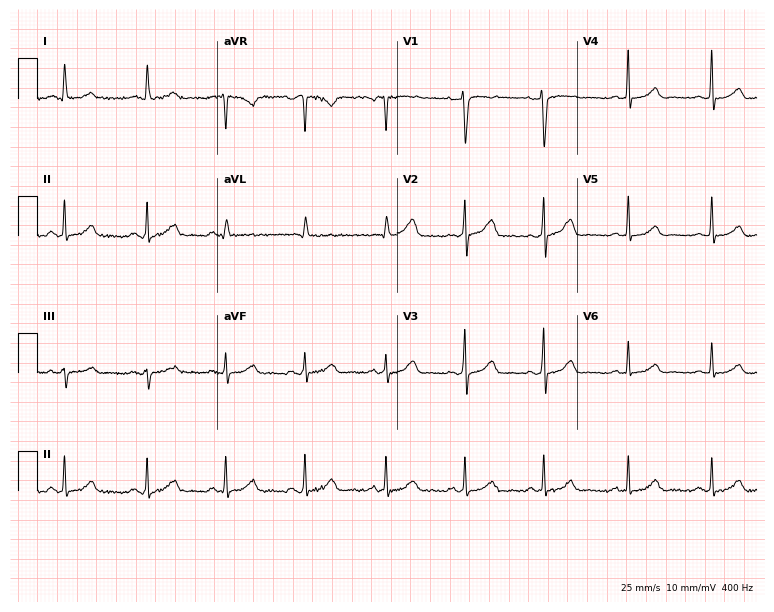
Standard 12-lead ECG recorded from a 41-year-old female patient (7.3-second recording at 400 Hz). None of these six findings is recorded: first-degree AV block, right bundle branch block, left bundle branch block, sinus bradycardia, atrial fibrillation, sinus tachycardia.